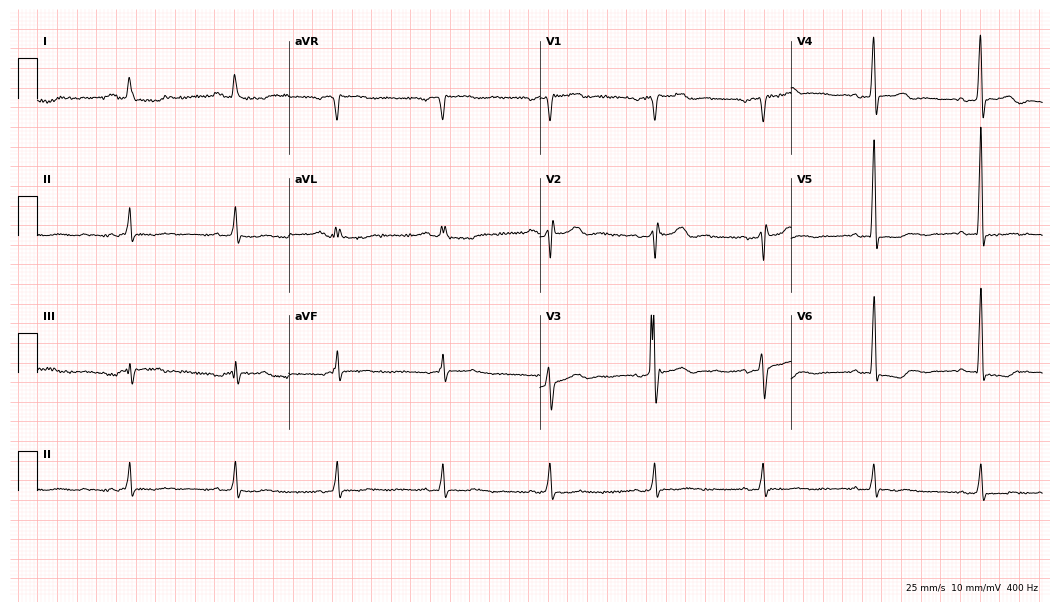
12-lead ECG from a male, 48 years old. No first-degree AV block, right bundle branch block, left bundle branch block, sinus bradycardia, atrial fibrillation or sinus tachycardia recorded for this tracing. Only these six findings were labelled.